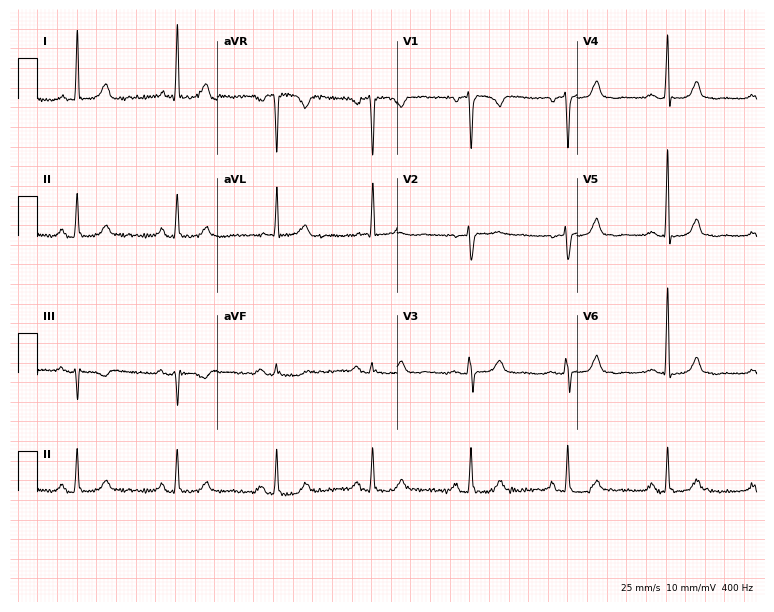
Resting 12-lead electrocardiogram (7.3-second recording at 400 Hz). Patient: a 68-year-old female. Read as a normal ECG.